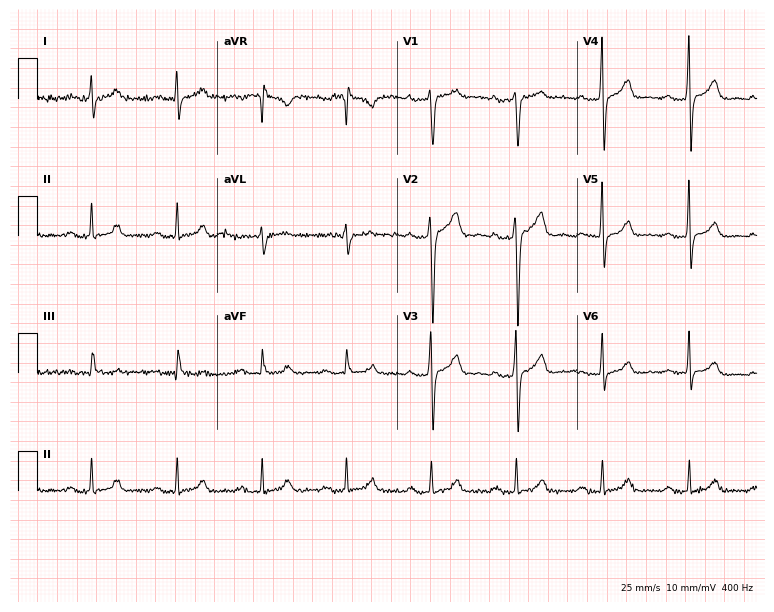
Standard 12-lead ECG recorded from a 42-year-old man. Read as a normal ECG.